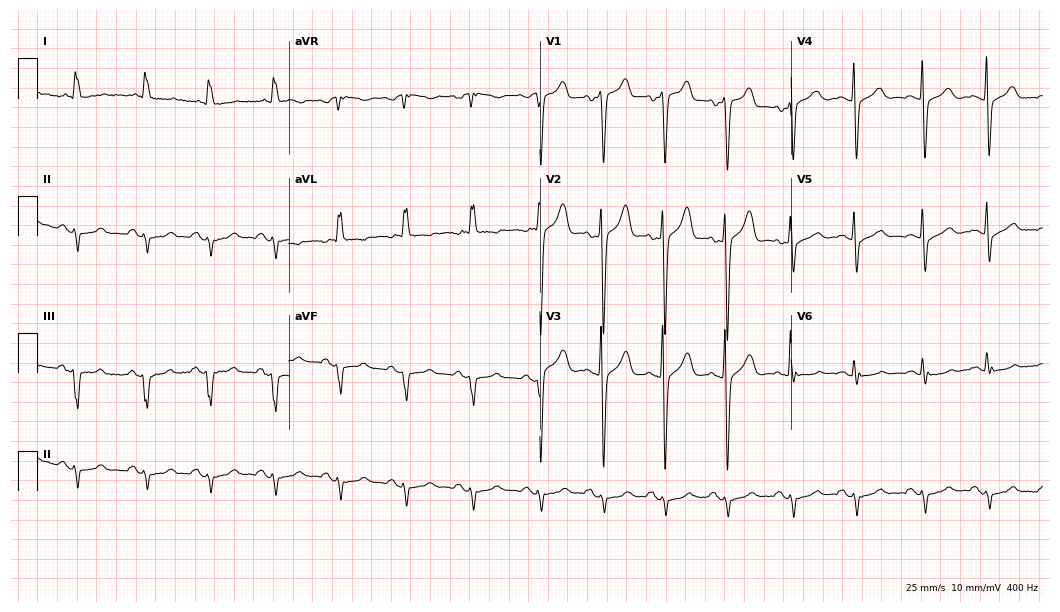
Resting 12-lead electrocardiogram. Patient: a woman, 68 years old. None of these six findings is recorded: first-degree AV block, right bundle branch block, left bundle branch block, sinus bradycardia, atrial fibrillation, sinus tachycardia.